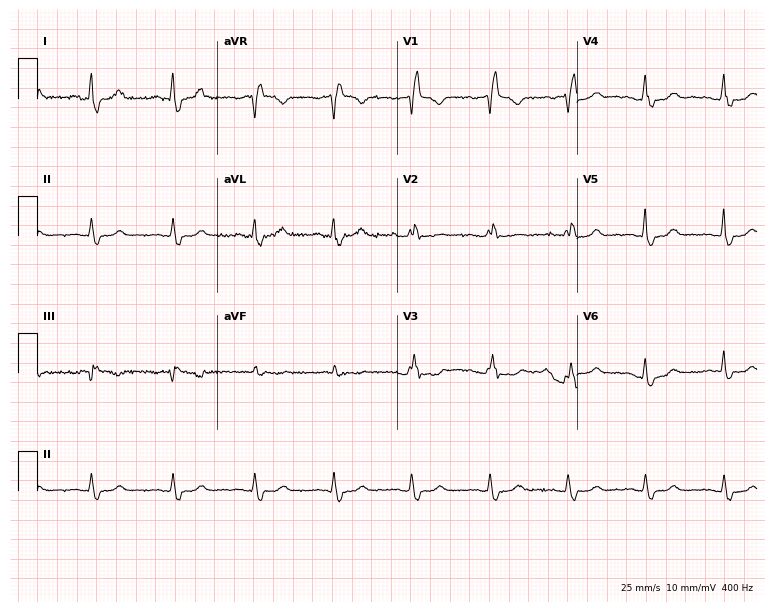
Standard 12-lead ECG recorded from a female patient, 69 years old (7.3-second recording at 400 Hz). The tracing shows right bundle branch block.